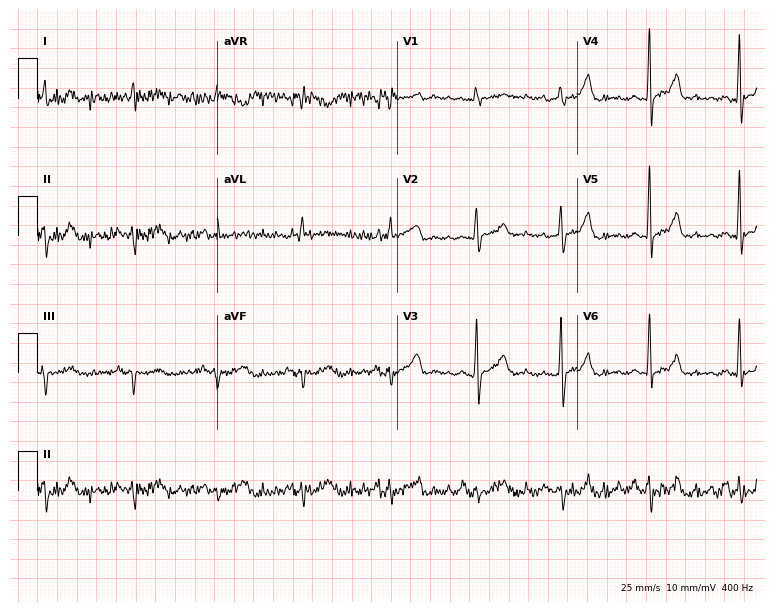
Standard 12-lead ECG recorded from a 58-year-old man (7.3-second recording at 400 Hz). None of these six findings is recorded: first-degree AV block, right bundle branch block, left bundle branch block, sinus bradycardia, atrial fibrillation, sinus tachycardia. Other findings, if any, are not listed.